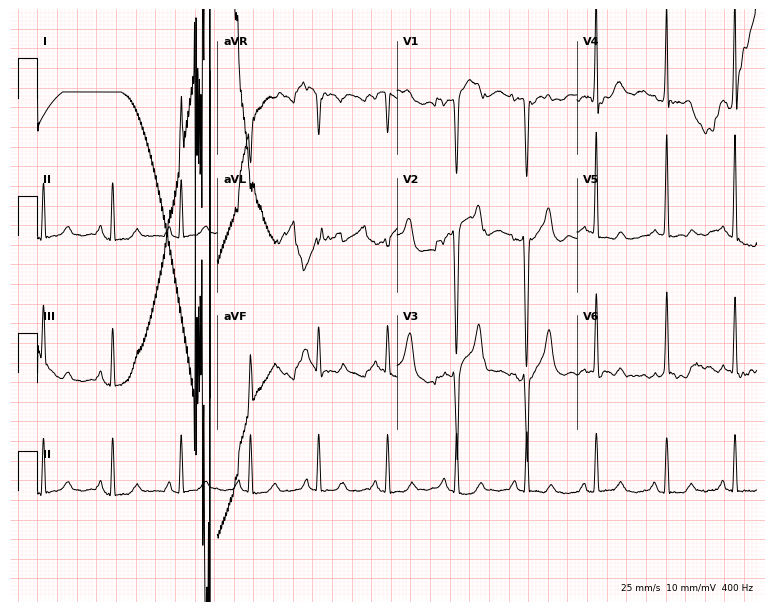
Electrocardiogram, a female patient, 74 years old. Overall reading on record: normal ECG.